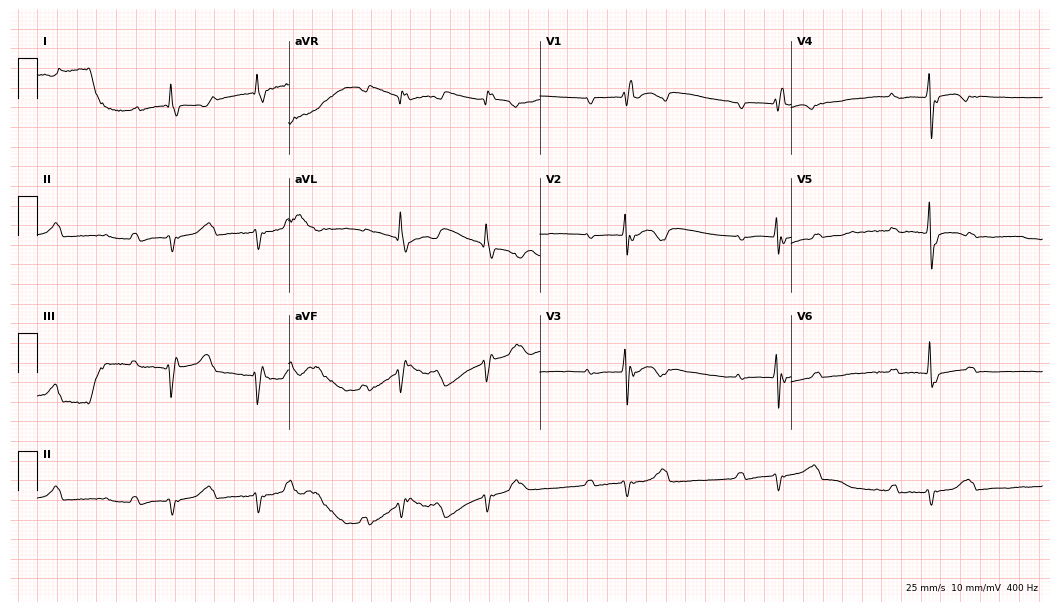
12-lead ECG from a female patient, 87 years old. No first-degree AV block, right bundle branch block (RBBB), left bundle branch block (LBBB), sinus bradycardia, atrial fibrillation (AF) or sinus tachycardia recorded for this tracing. Other findings, if any, are not listed.